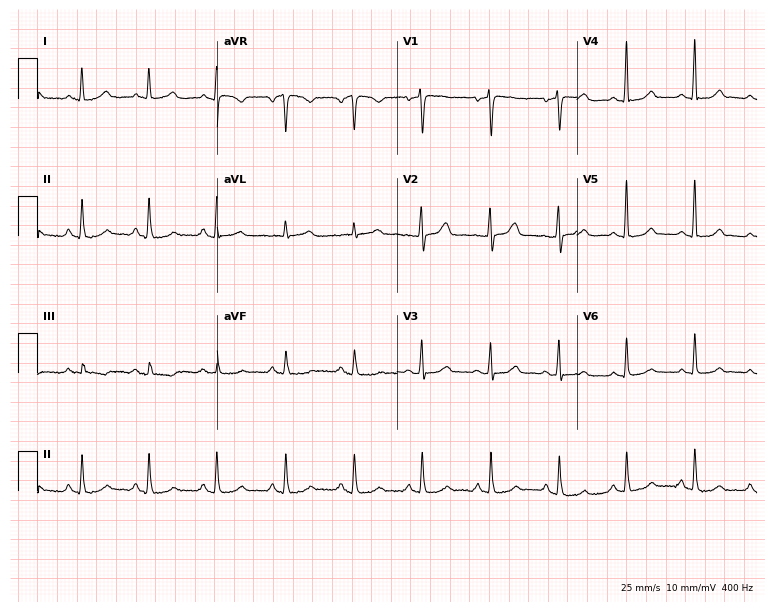
ECG (7.3-second recording at 400 Hz) — a woman, 74 years old. Labelled as a normal ECG.